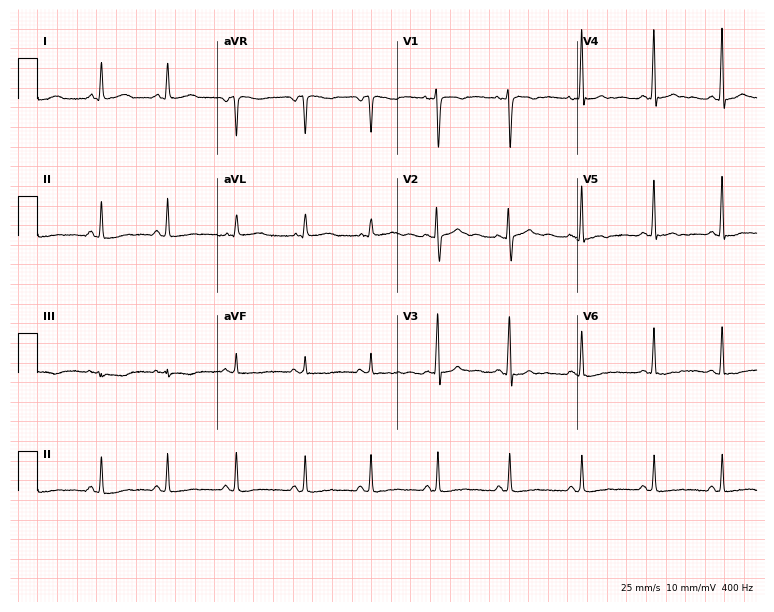
Resting 12-lead electrocardiogram. Patient: a 53-year-old female. Read as a normal ECG.